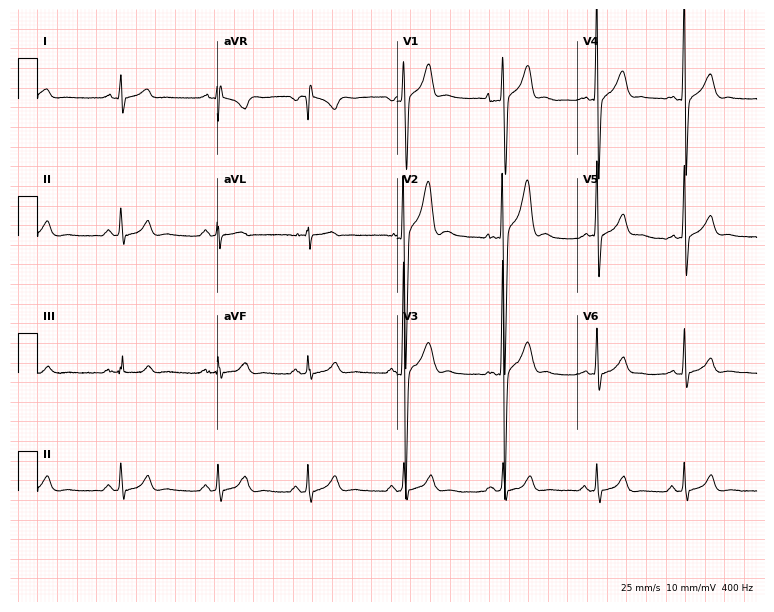
Electrocardiogram (7.3-second recording at 400 Hz), a 17-year-old male. Overall reading on record: normal ECG.